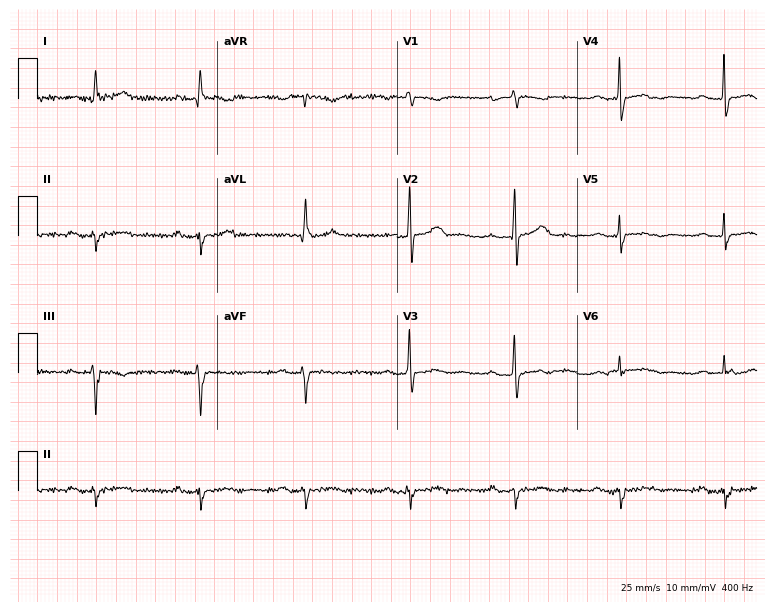
Standard 12-lead ECG recorded from an 81-year-old male patient (7.3-second recording at 400 Hz). None of these six findings is recorded: first-degree AV block, right bundle branch block (RBBB), left bundle branch block (LBBB), sinus bradycardia, atrial fibrillation (AF), sinus tachycardia. Other findings, if any, are not listed.